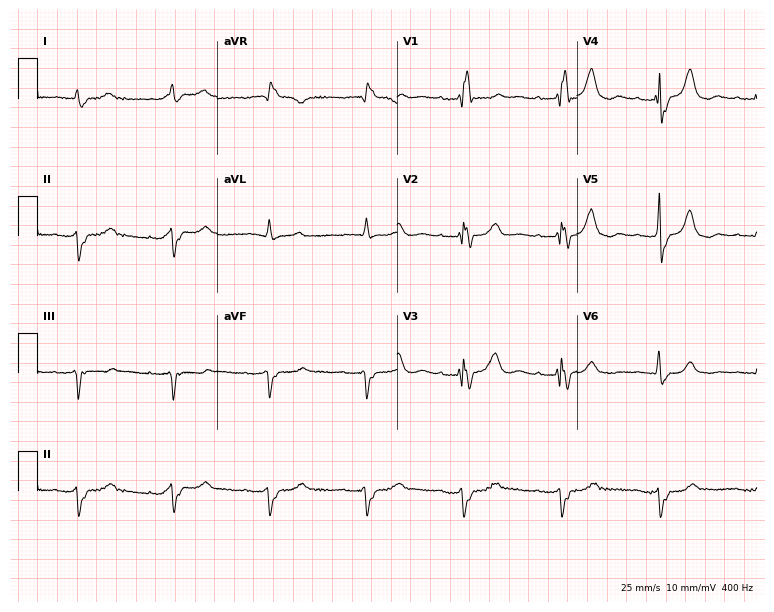
12-lead ECG from a 75-year-old male patient. Findings include right bundle branch block, left bundle branch block.